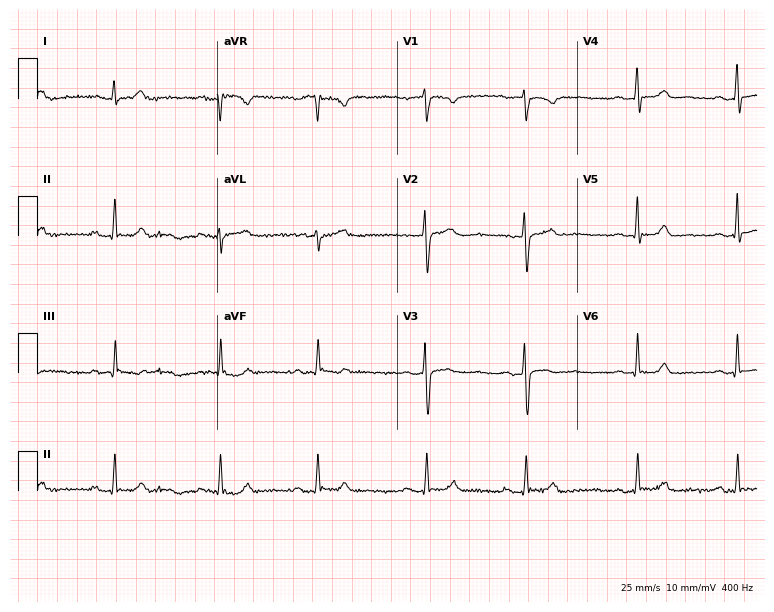
ECG — a female, 23 years old. Findings include first-degree AV block.